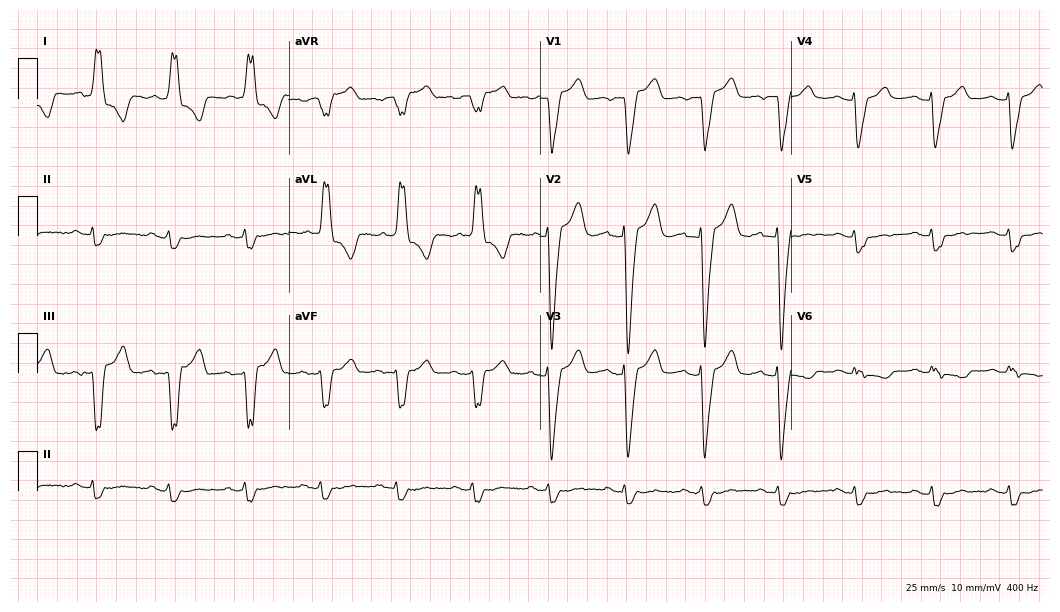
12-lead ECG from a woman, 70 years old. Findings include left bundle branch block.